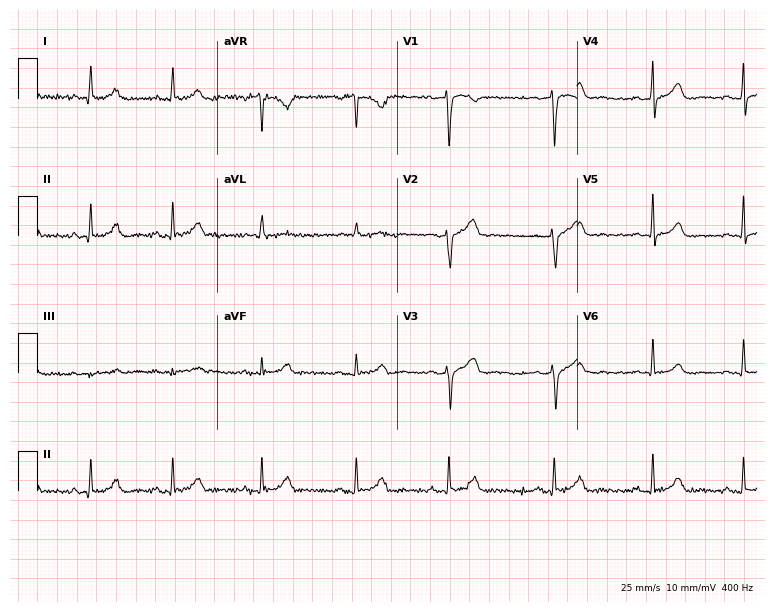
Resting 12-lead electrocardiogram (7.3-second recording at 400 Hz). Patient: a male, 25 years old. None of these six findings is recorded: first-degree AV block, right bundle branch block (RBBB), left bundle branch block (LBBB), sinus bradycardia, atrial fibrillation (AF), sinus tachycardia.